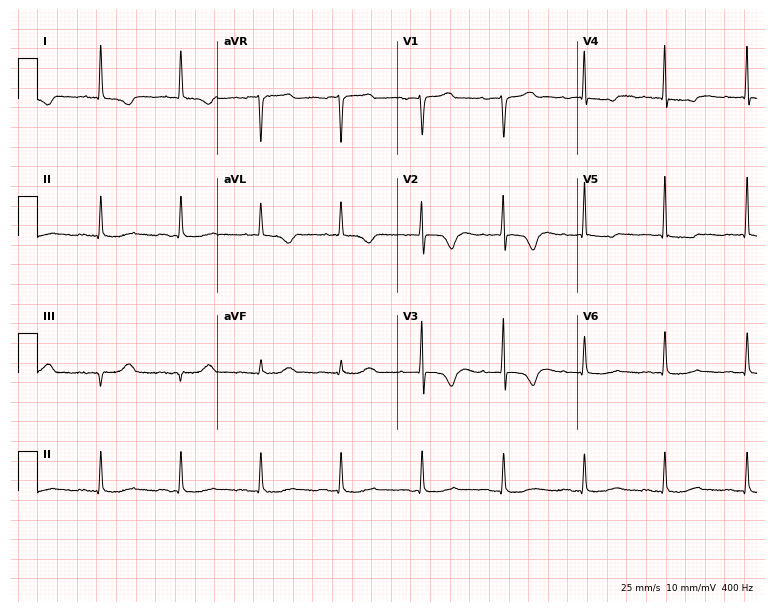
12-lead ECG from an 80-year-old woman. Screened for six findings — first-degree AV block, right bundle branch block (RBBB), left bundle branch block (LBBB), sinus bradycardia, atrial fibrillation (AF), sinus tachycardia — none is recorded. Only these six findings were labelled.